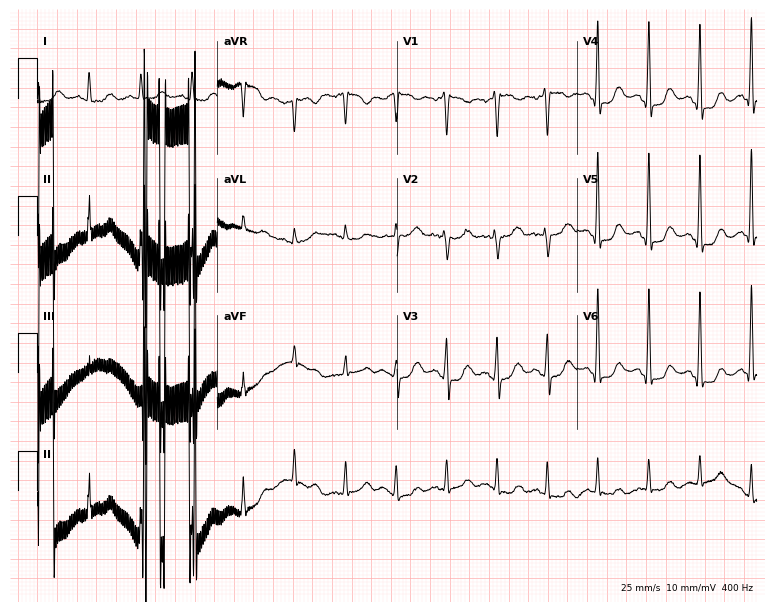
Standard 12-lead ECG recorded from a female, 35 years old (7.3-second recording at 400 Hz). The tracing shows sinus tachycardia (a sinus rate of 100 beats per minute or more).